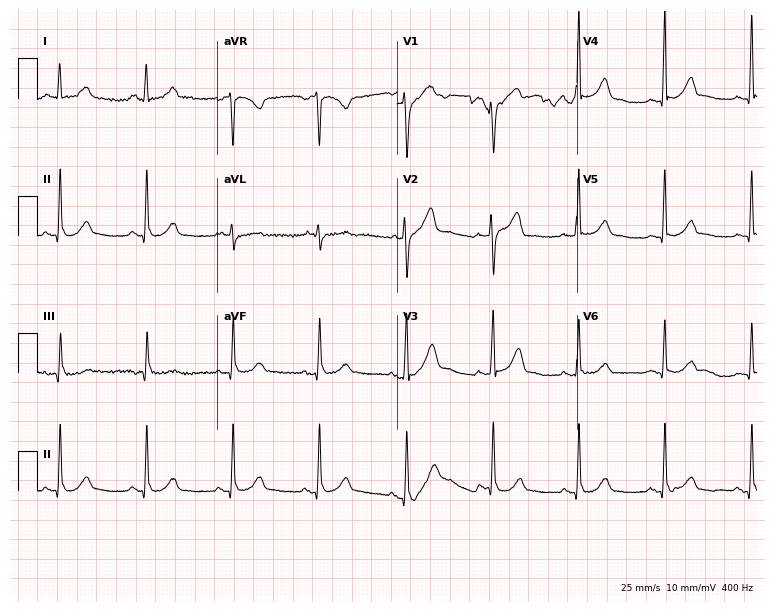
Electrocardiogram (7.3-second recording at 400 Hz), a 55-year-old woman. Of the six screened findings (first-degree AV block, right bundle branch block (RBBB), left bundle branch block (LBBB), sinus bradycardia, atrial fibrillation (AF), sinus tachycardia), none is recorded. Only these six findings were labelled.